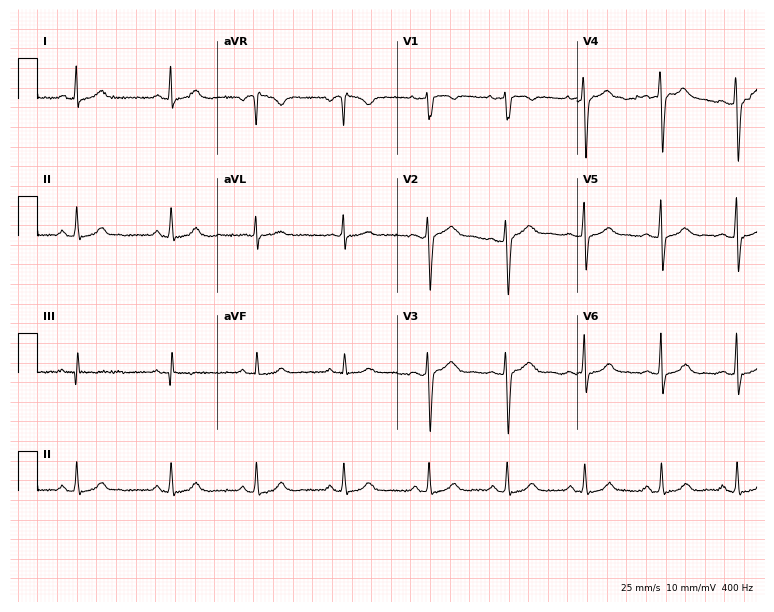
Resting 12-lead electrocardiogram. Patient: a female, 20 years old. Read as a normal ECG.